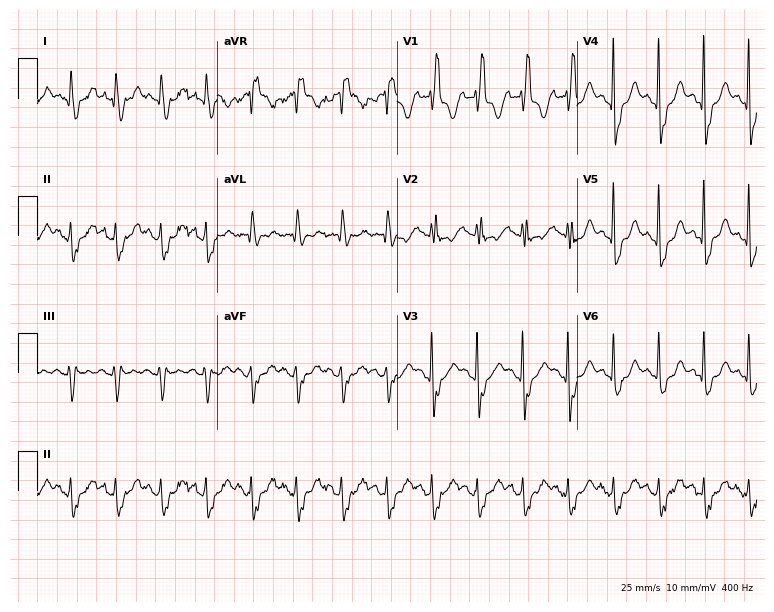
12-lead ECG from a woman, 66 years old. Findings include right bundle branch block, sinus tachycardia (a sinus rate of 100 beats per minute or more).